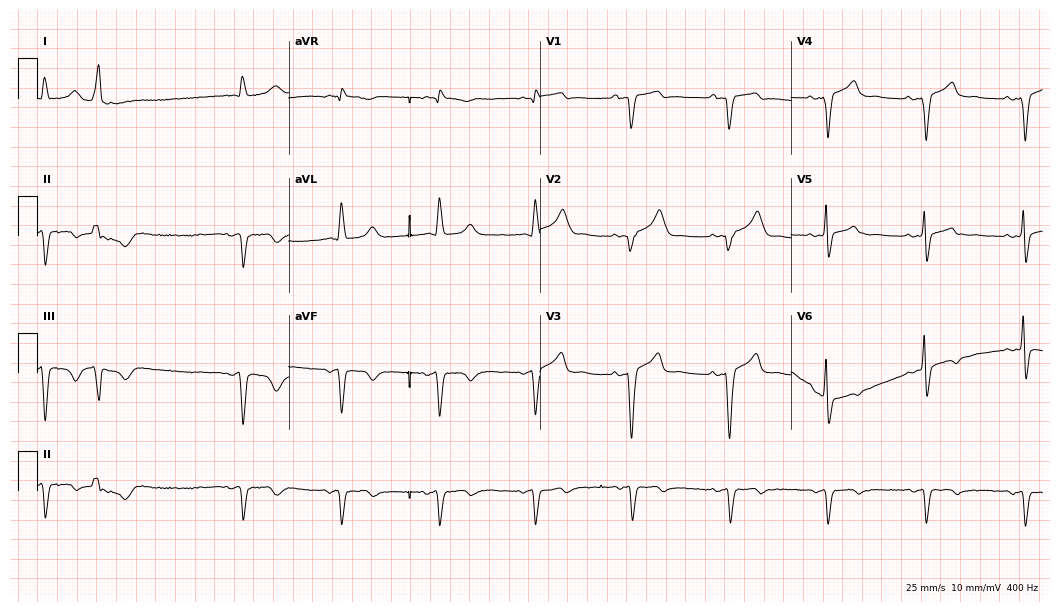
ECG (10.2-second recording at 400 Hz) — a man, 62 years old. Screened for six findings — first-degree AV block, right bundle branch block (RBBB), left bundle branch block (LBBB), sinus bradycardia, atrial fibrillation (AF), sinus tachycardia — none is recorded.